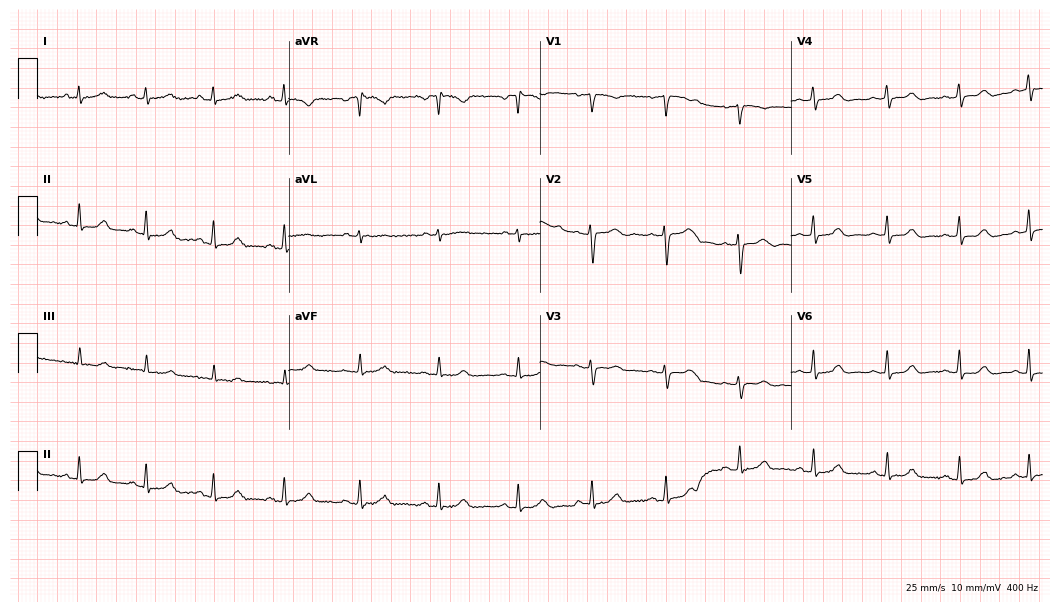
Electrocardiogram (10.2-second recording at 400 Hz), a 41-year-old female patient. Overall reading on record: normal ECG.